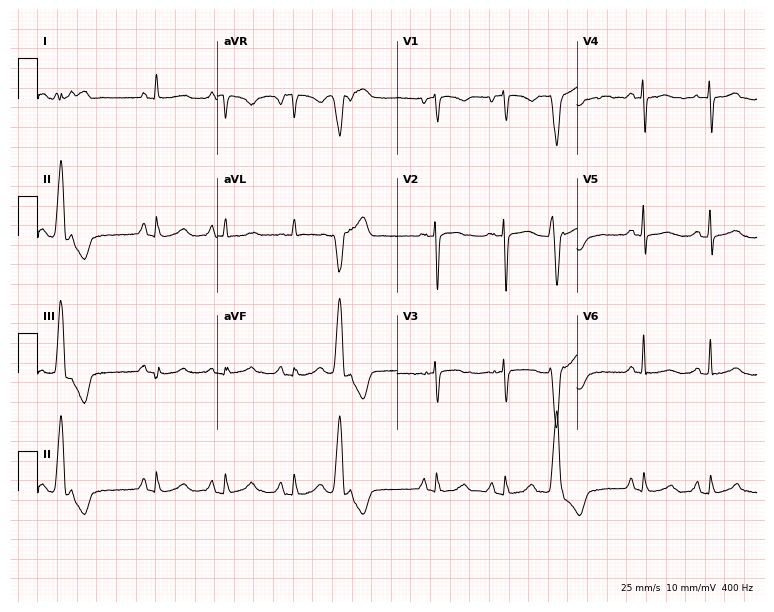
12-lead ECG from a woman, 56 years old. Screened for six findings — first-degree AV block, right bundle branch block (RBBB), left bundle branch block (LBBB), sinus bradycardia, atrial fibrillation (AF), sinus tachycardia — none is recorded.